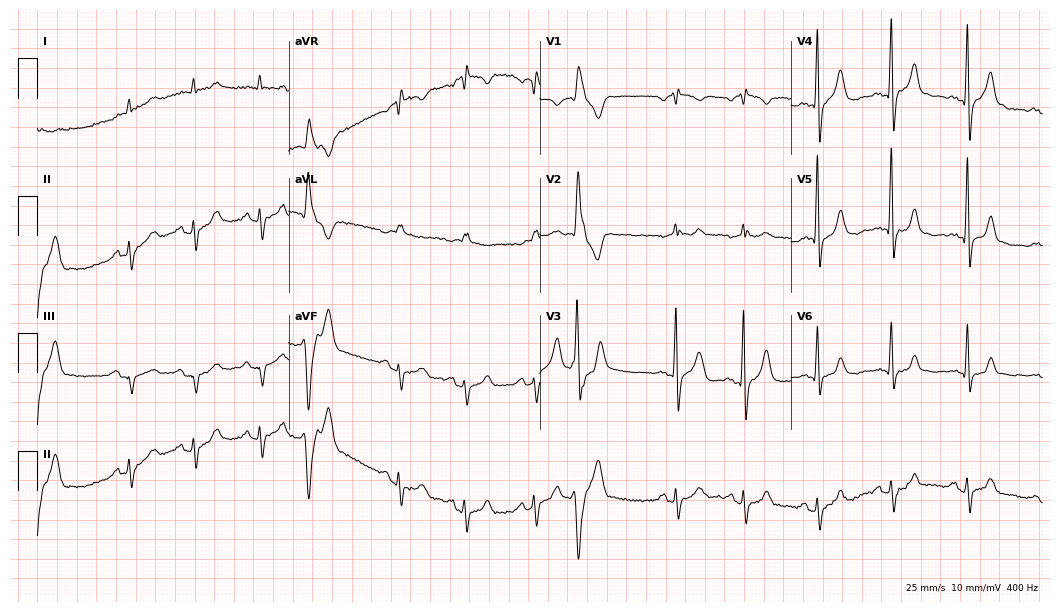
Standard 12-lead ECG recorded from a male patient, 70 years old. None of these six findings is recorded: first-degree AV block, right bundle branch block (RBBB), left bundle branch block (LBBB), sinus bradycardia, atrial fibrillation (AF), sinus tachycardia.